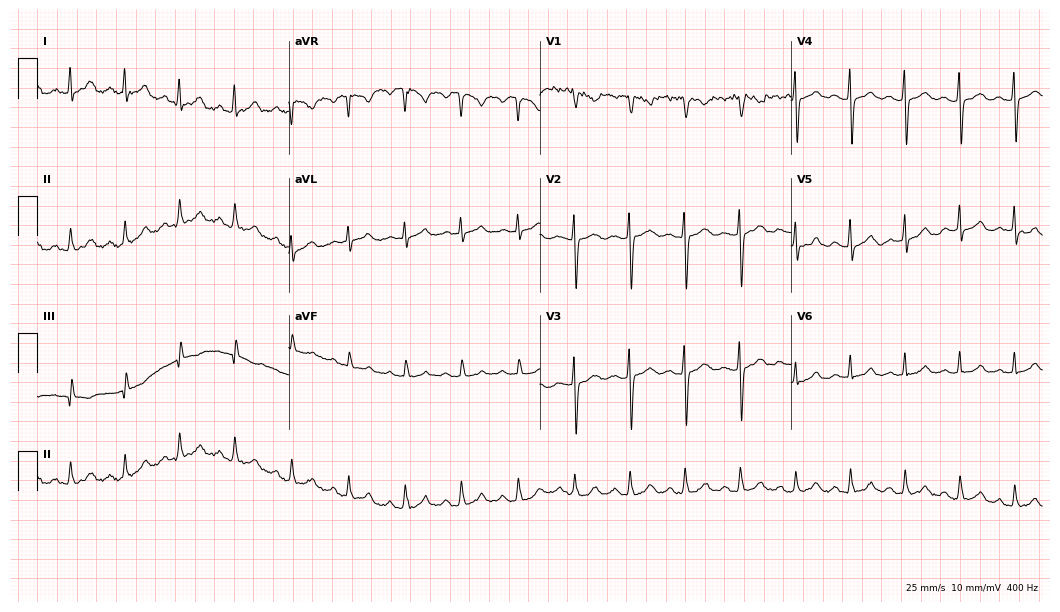
Resting 12-lead electrocardiogram. Patient: a woman, 24 years old. The tracing shows sinus tachycardia (a sinus rate of 100 beats per minute or more).